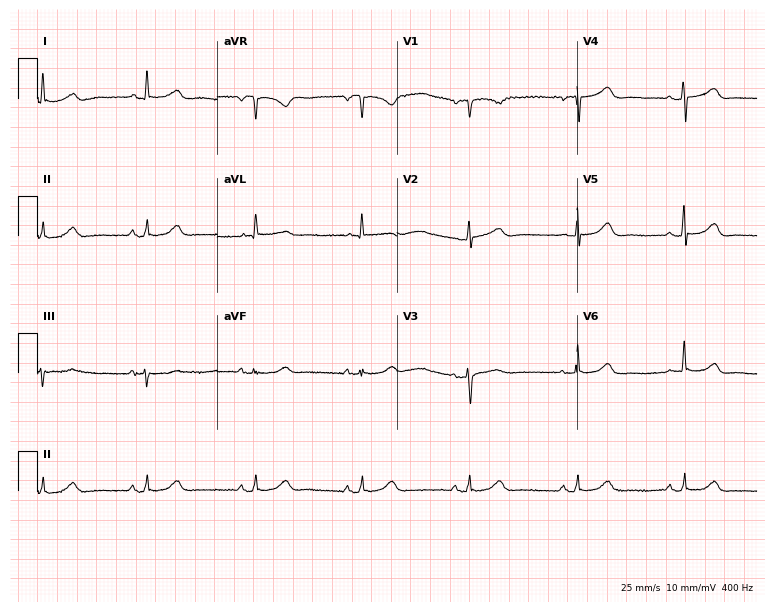
ECG — an 85-year-old female patient. Labelled as a normal ECG.